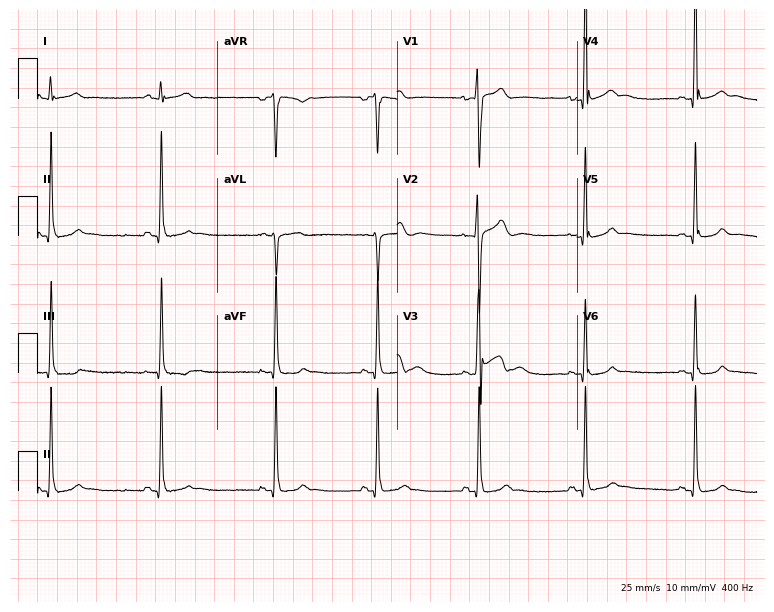
Resting 12-lead electrocardiogram (7.3-second recording at 400 Hz). Patient: a 17-year-old male. Read as a normal ECG.